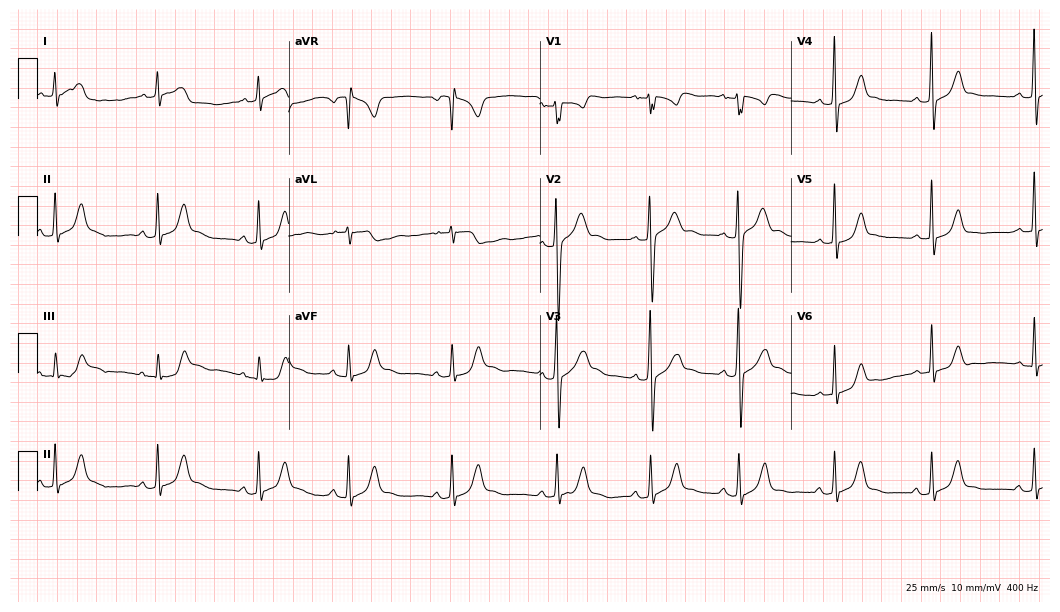
ECG — a 19-year-old male. Labelled as a normal ECG.